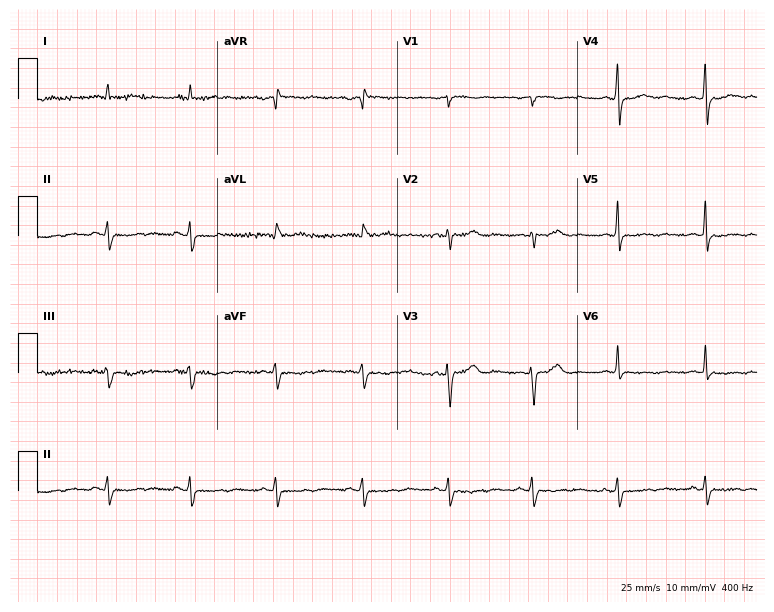
ECG — a female, 33 years old. Screened for six findings — first-degree AV block, right bundle branch block, left bundle branch block, sinus bradycardia, atrial fibrillation, sinus tachycardia — none is recorded.